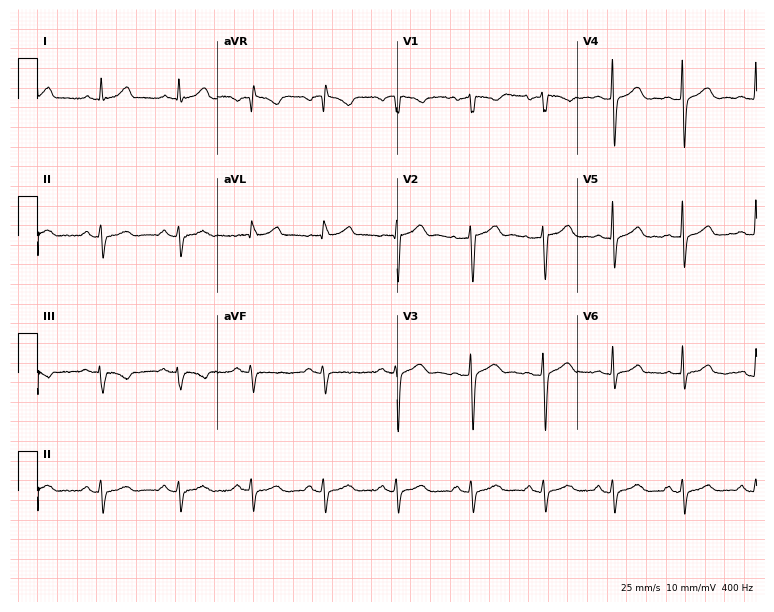
12-lead ECG from a female, 47 years old. Screened for six findings — first-degree AV block, right bundle branch block (RBBB), left bundle branch block (LBBB), sinus bradycardia, atrial fibrillation (AF), sinus tachycardia — none is recorded.